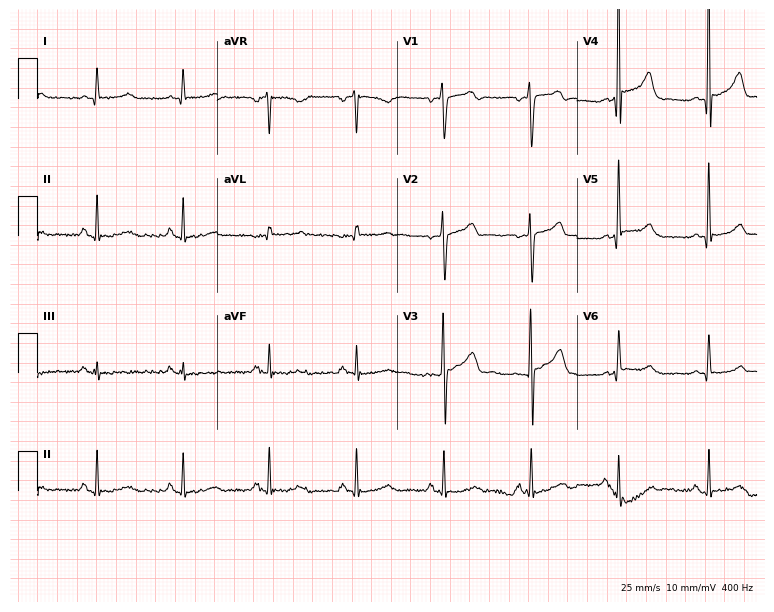
12-lead ECG from a 73-year-old man. Screened for six findings — first-degree AV block, right bundle branch block, left bundle branch block, sinus bradycardia, atrial fibrillation, sinus tachycardia — none is recorded. Other findings, if any, are not listed.